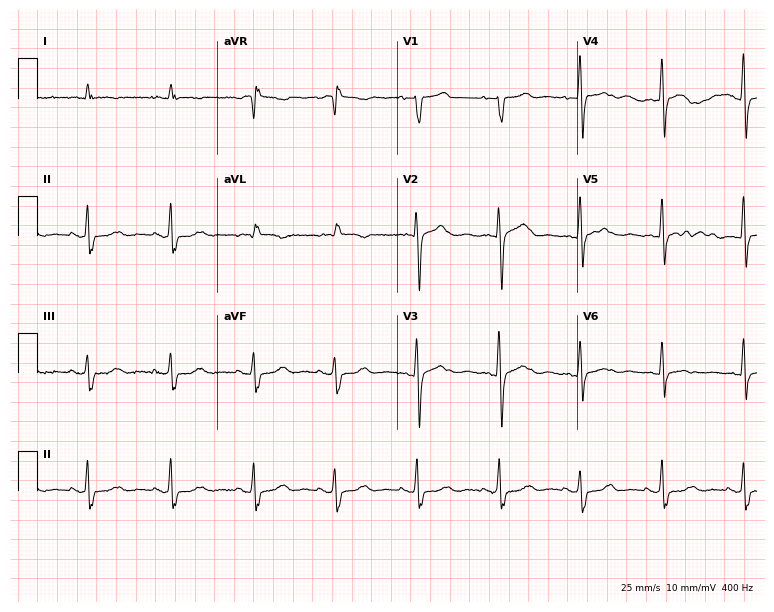
12-lead ECG from a 72-year-old female patient. Screened for six findings — first-degree AV block, right bundle branch block, left bundle branch block, sinus bradycardia, atrial fibrillation, sinus tachycardia — none is recorded.